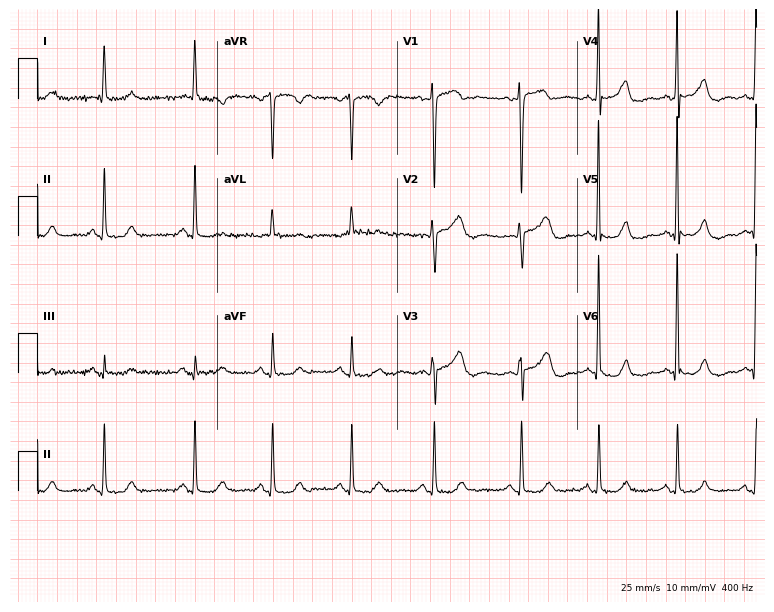
12-lead ECG from an 84-year-old woman (7.3-second recording at 400 Hz). No first-degree AV block, right bundle branch block, left bundle branch block, sinus bradycardia, atrial fibrillation or sinus tachycardia recorded for this tracing.